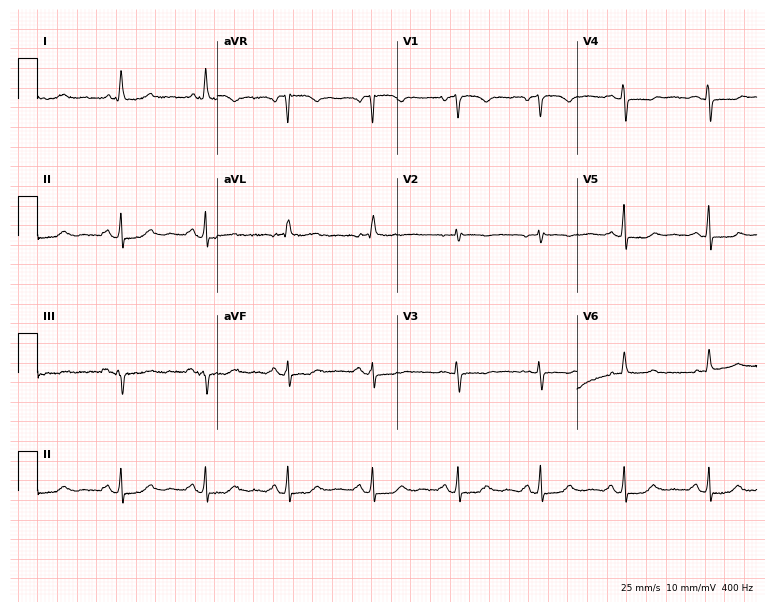
12-lead ECG from a female patient, 65 years old. Screened for six findings — first-degree AV block, right bundle branch block, left bundle branch block, sinus bradycardia, atrial fibrillation, sinus tachycardia — none is recorded.